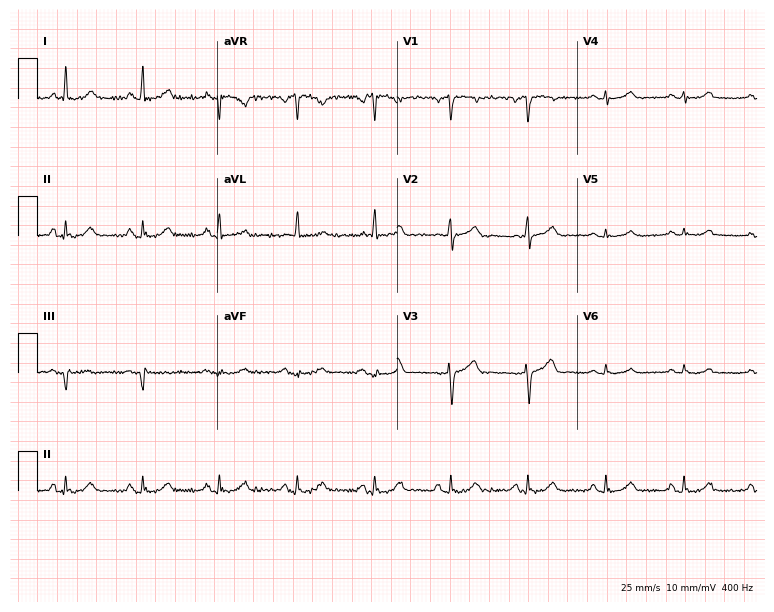
12-lead ECG (7.3-second recording at 400 Hz) from a female patient, 50 years old. Labelled as a normal ECG.